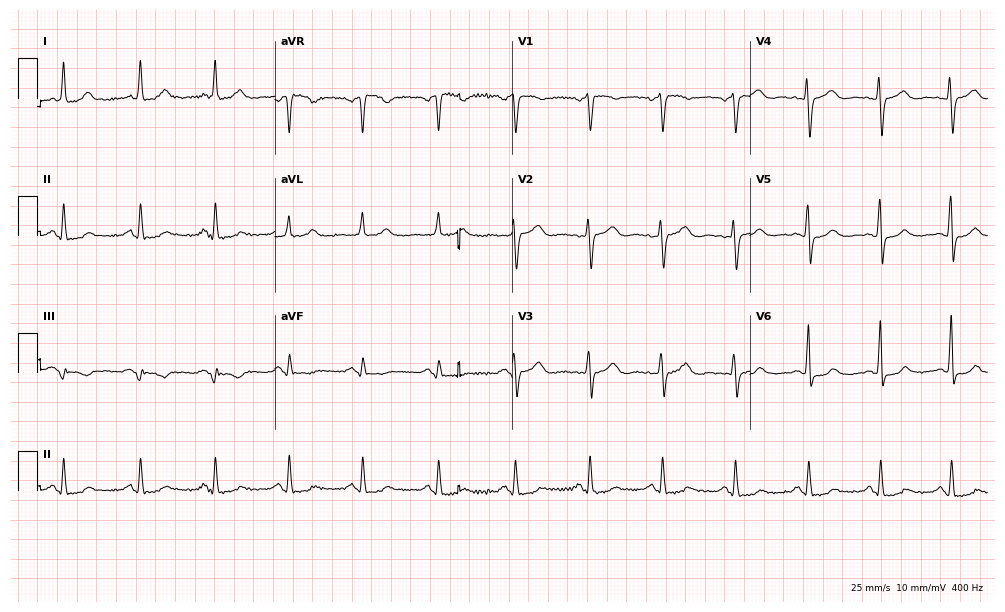
12-lead ECG (9.7-second recording at 400 Hz) from a 71-year-old female. Screened for six findings — first-degree AV block, right bundle branch block, left bundle branch block, sinus bradycardia, atrial fibrillation, sinus tachycardia — none is recorded.